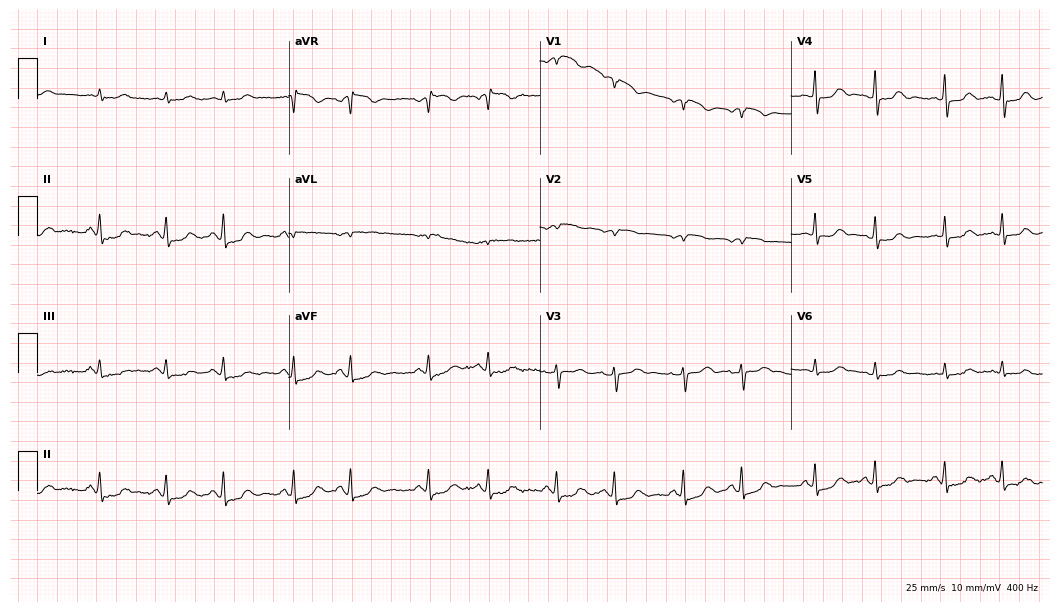
Resting 12-lead electrocardiogram. Patient: a 64-year-old female. None of these six findings is recorded: first-degree AV block, right bundle branch block, left bundle branch block, sinus bradycardia, atrial fibrillation, sinus tachycardia.